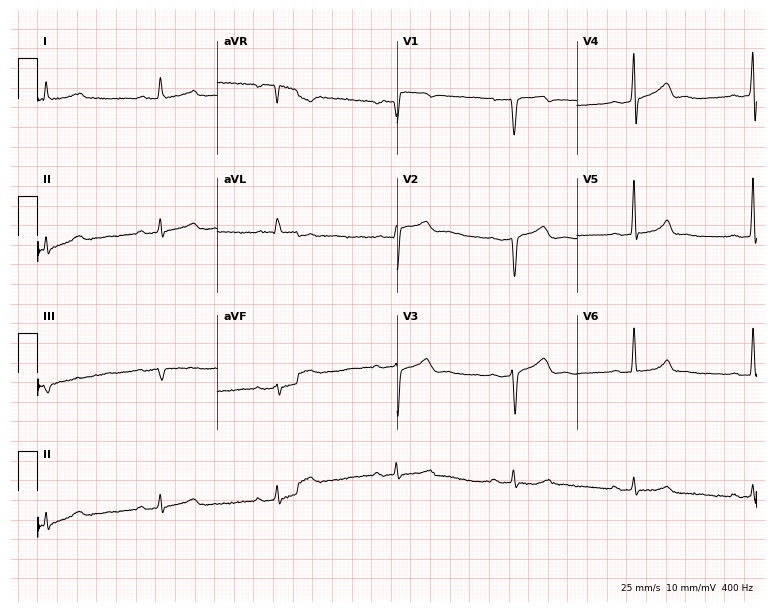
ECG — a 46-year-old male. Screened for six findings — first-degree AV block, right bundle branch block, left bundle branch block, sinus bradycardia, atrial fibrillation, sinus tachycardia — none is recorded. Findings outside these six are not listed.